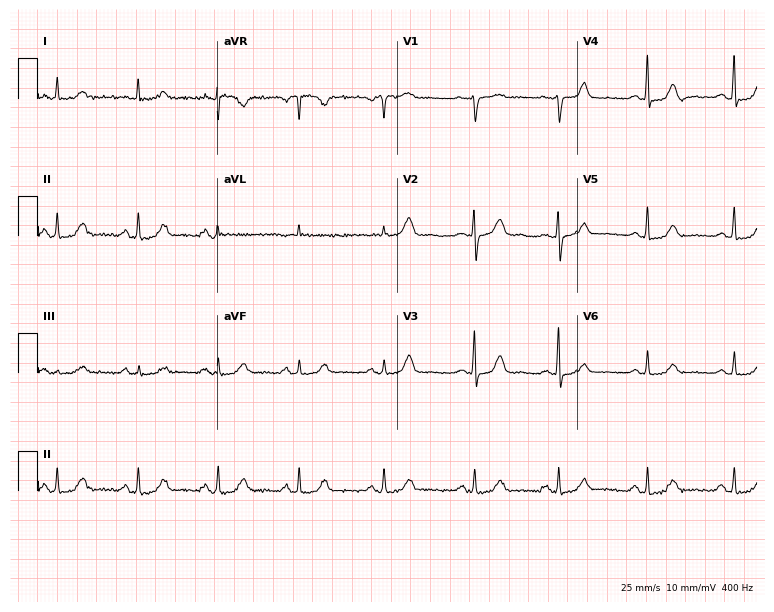
Resting 12-lead electrocardiogram (7.3-second recording at 400 Hz). Patient: a 67-year-old female. Read as a normal ECG.